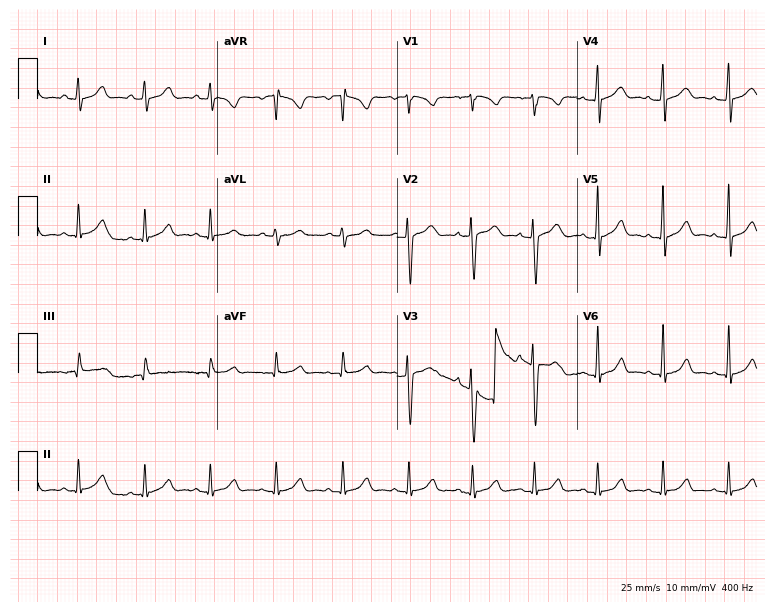
Resting 12-lead electrocardiogram (7.3-second recording at 400 Hz). Patient: a 27-year-old woman. Read as a normal ECG.